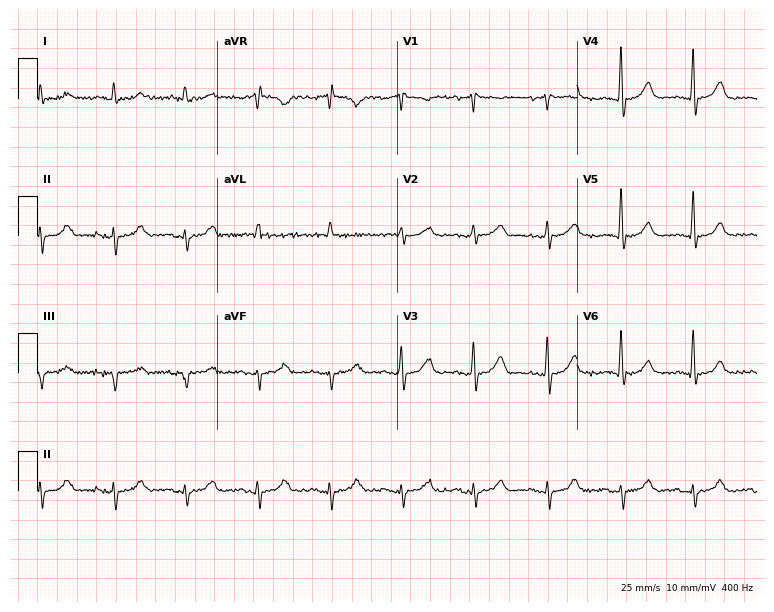
12-lead ECG from an 81-year-old male (7.3-second recording at 400 Hz). No first-degree AV block, right bundle branch block (RBBB), left bundle branch block (LBBB), sinus bradycardia, atrial fibrillation (AF) or sinus tachycardia recorded for this tracing.